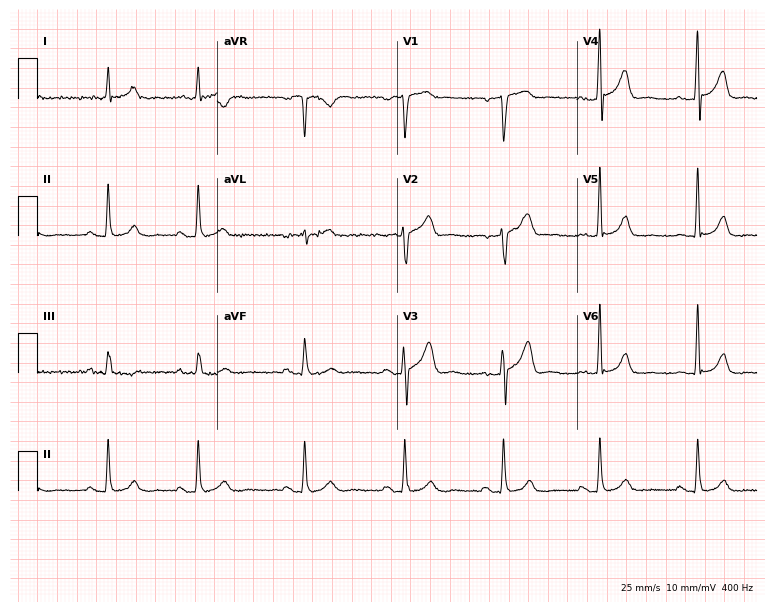
Electrocardiogram, an 85-year-old male patient. Overall reading on record: normal ECG.